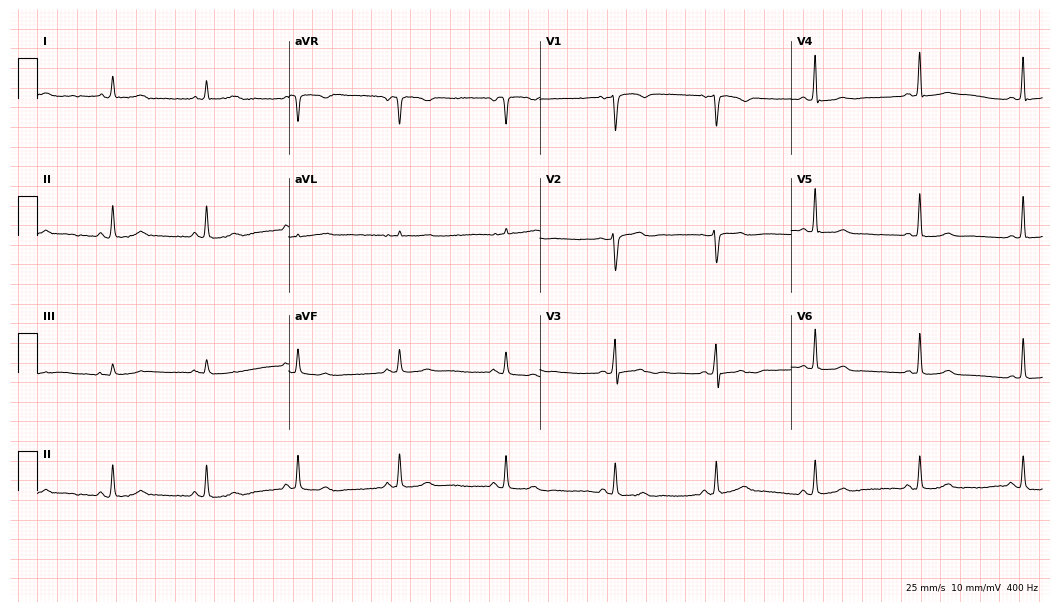
12-lead ECG (10.2-second recording at 400 Hz) from a 34-year-old woman. Screened for six findings — first-degree AV block, right bundle branch block, left bundle branch block, sinus bradycardia, atrial fibrillation, sinus tachycardia — none is recorded.